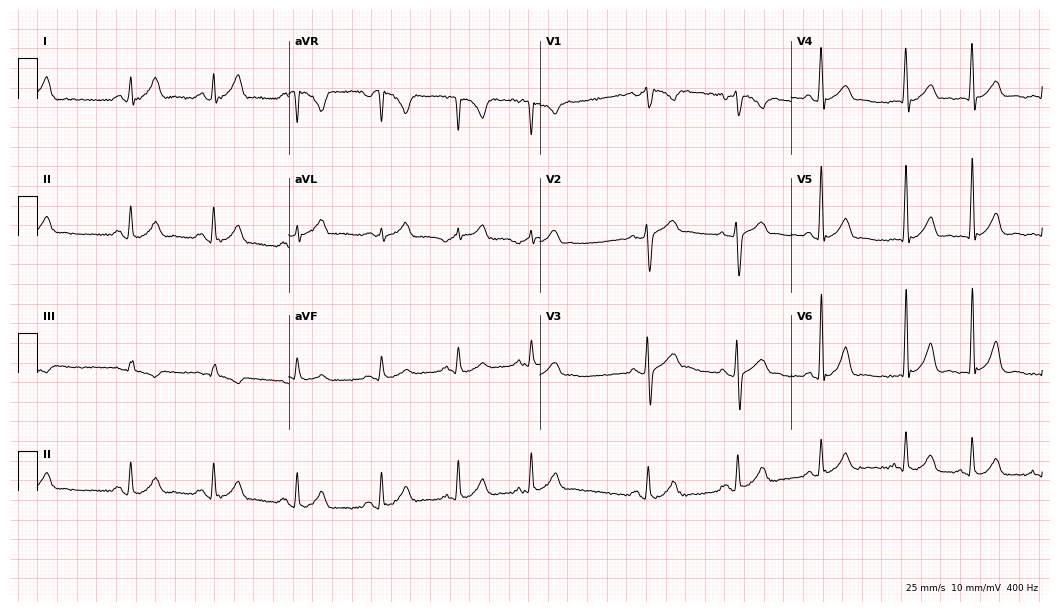
Resting 12-lead electrocardiogram. Patient: a 27-year-old male. None of these six findings is recorded: first-degree AV block, right bundle branch block, left bundle branch block, sinus bradycardia, atrial fibrillation, sinus tachycardia.